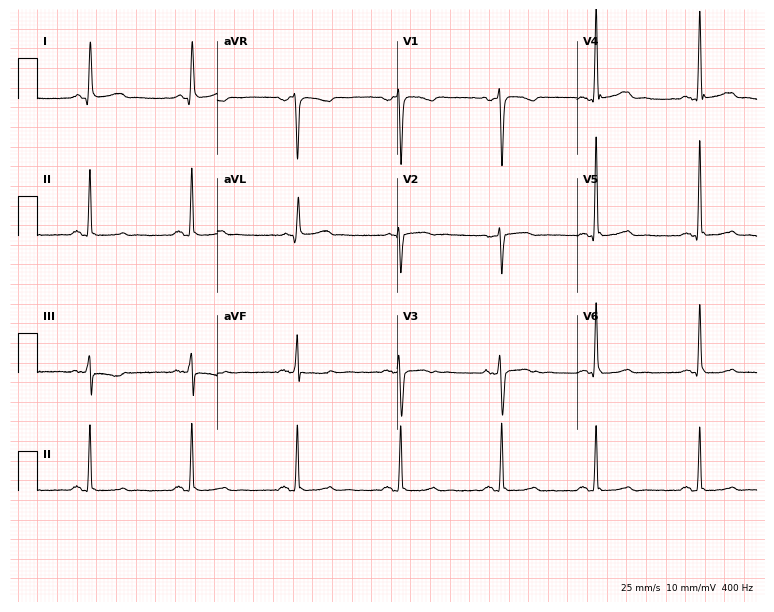
Resting 12-lead electrocardiogram (7.3-second recording at 400 Hz). Patient: a 52-year-old female. None of these six findings is recorded: first-degree AV block, right bundle branch block, left bundle branch block, sinus bradycardia, atrial fibrillation, sinus tachycardia.